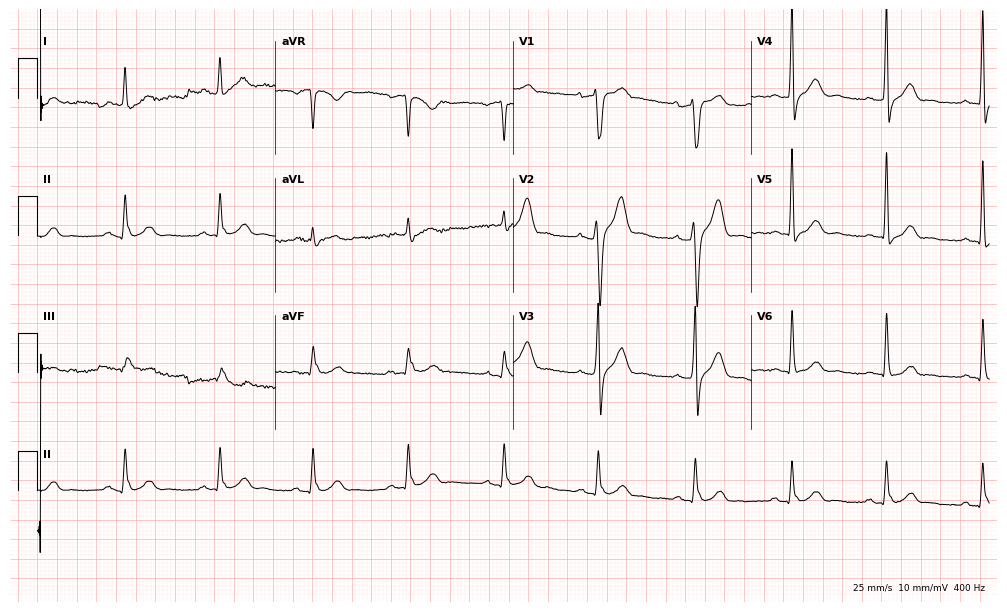
Electrocardiogram, a 41-year-old woman. Of the six screened findings (first-degree AV block, right bundle branch block, left bundle branch block, sinus bradycardia, atrial fibrillation, sinus tachycardia), none is recorded. Other findings, if any, are not listed.